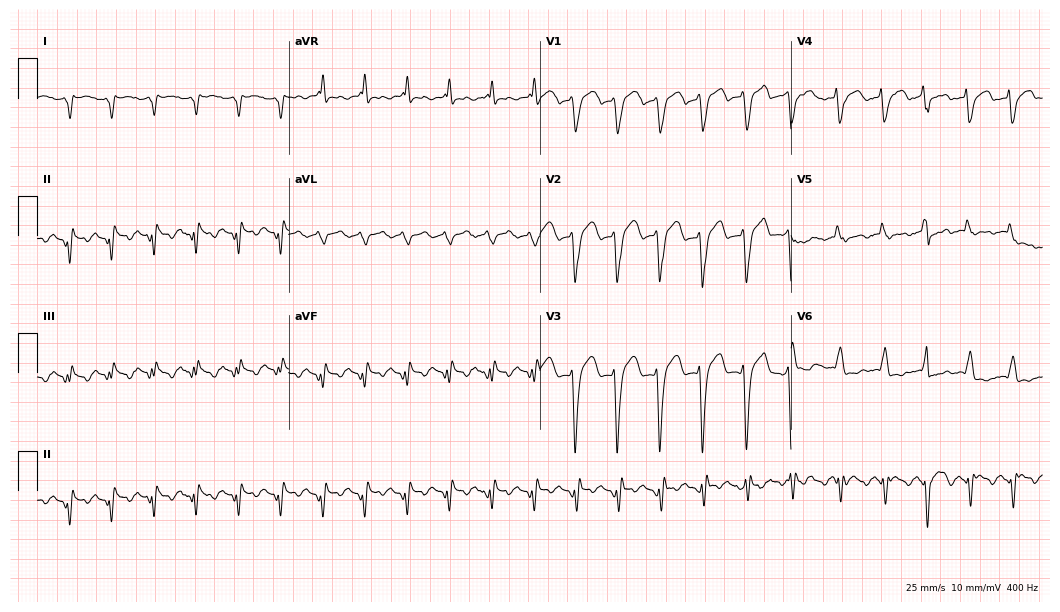
12-lead ECG (10.2-second recording at 400 Hz) from a male patient, 65 years old. Findings include left bundle branch block (LBBB), sinus tachycardia (a sinus rate of 100 beats per minute or more).